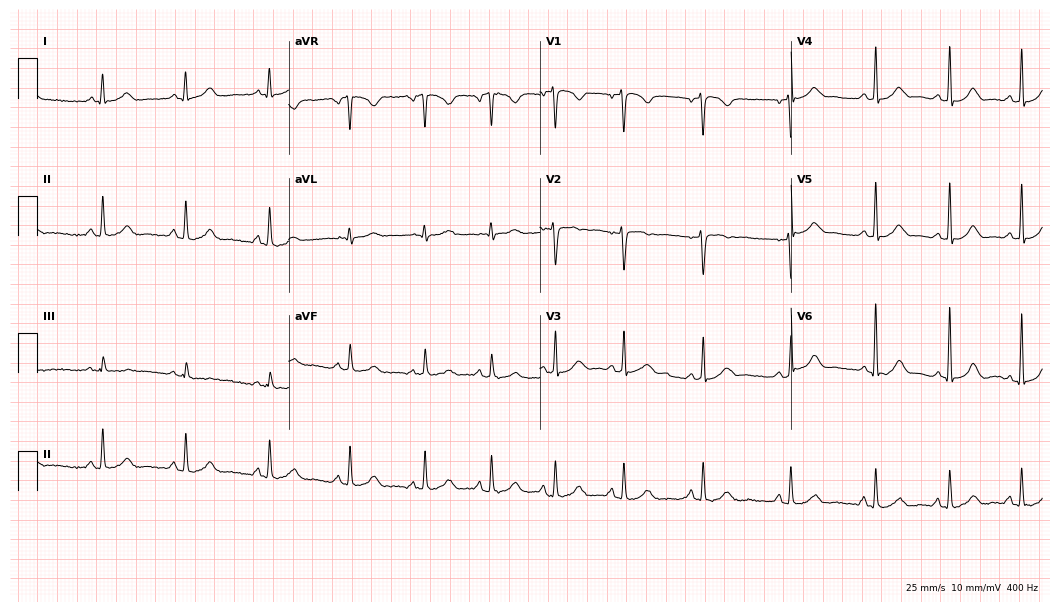
12-lead ECG from a 37-year-old female patient. Recorded interpretation: within normal limits.